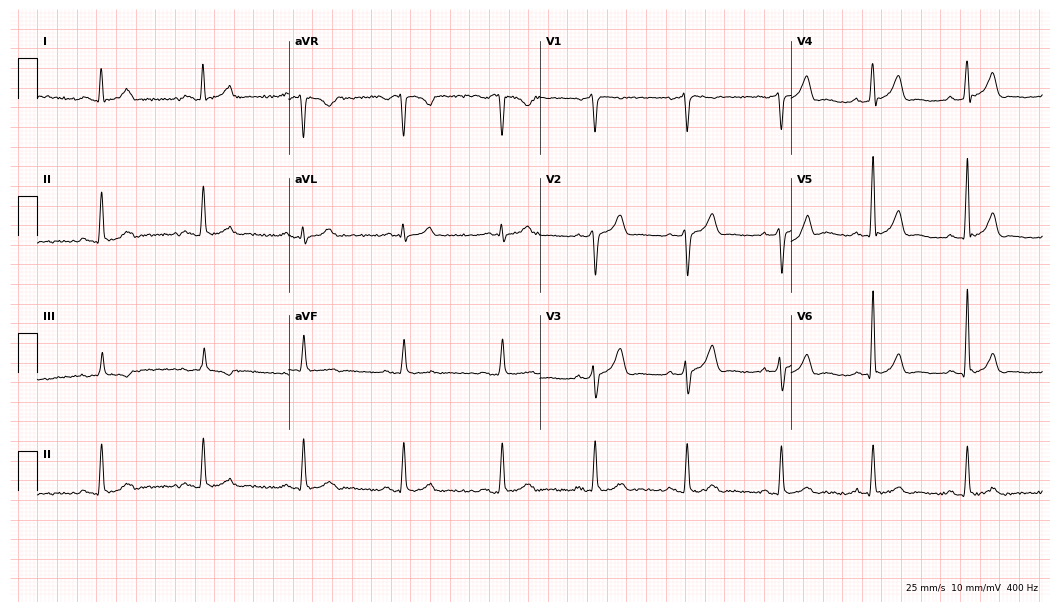
Electrocardiogram (10.2-second recording at 400 Hz), a 49-year-old man. Overall reading on record: normal ECG.